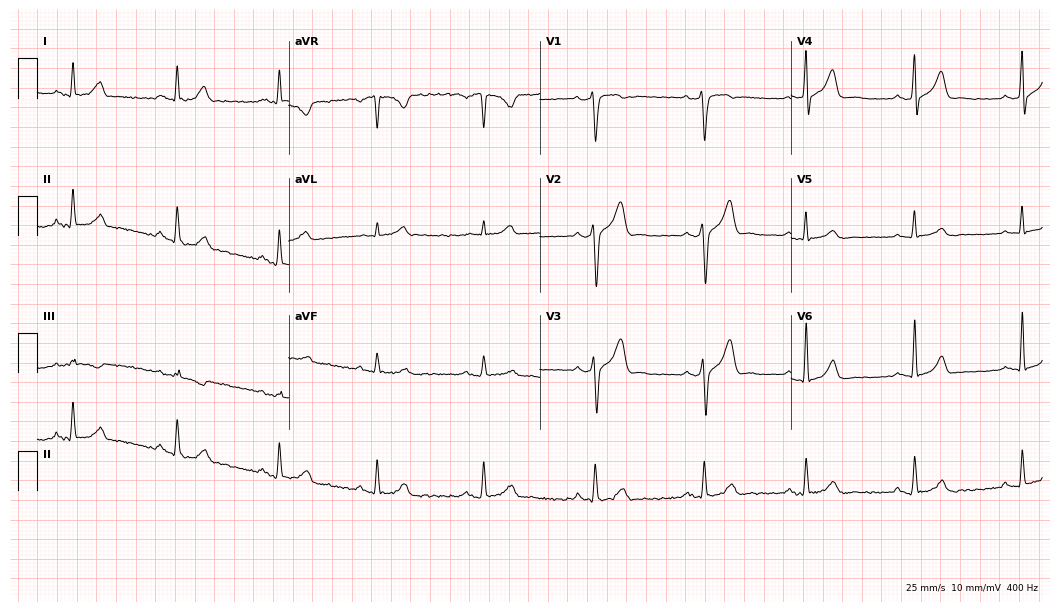
12-lead ECG (10.2-second recording at 400 Hz) from a 39-year-old man. Labelled as a normal ECG.